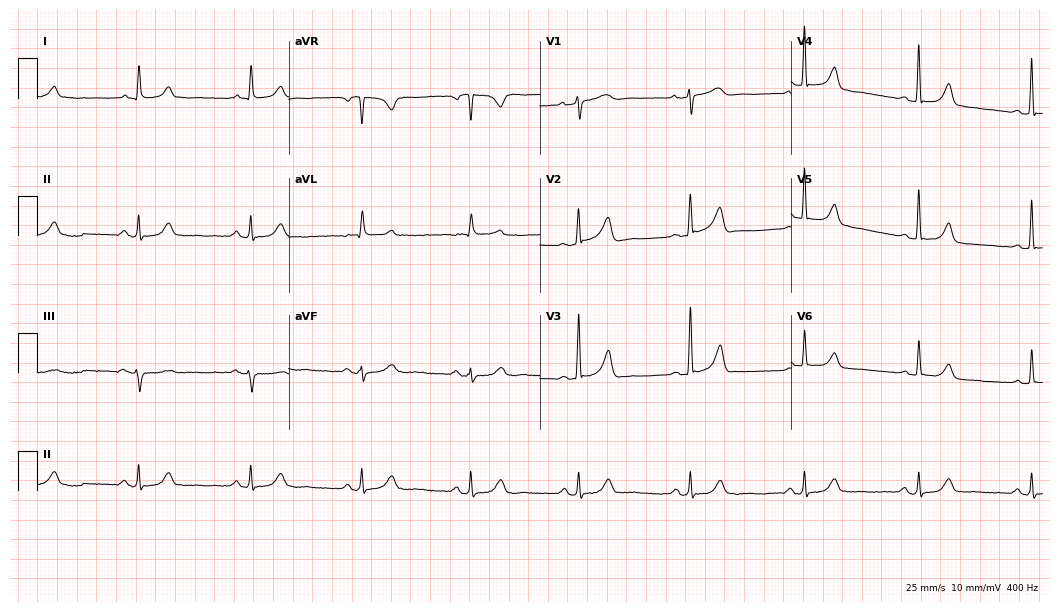
Standard 12-lead ECG recorded from a 63-year-old female. None of these six findings is recorded: first-degree AV block, right bundle branch block (RBBB), left bundle branch block (LBBB), sinus bradycardia, atrial fibrillation (AF), sinus tachycardia. Other findings, if any, are not listed.